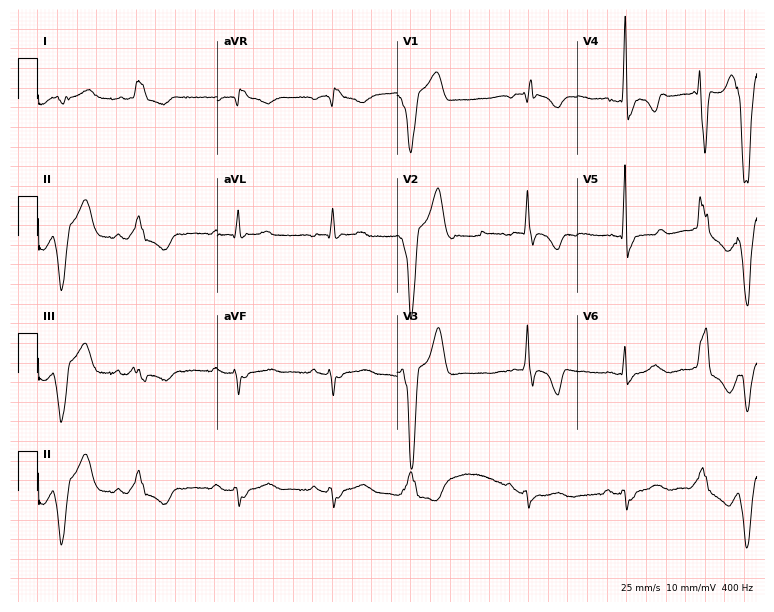
Resting 12-lead electrocardiogram. Patient: a 58-year-old male. The tracing shows right bundle branch block.